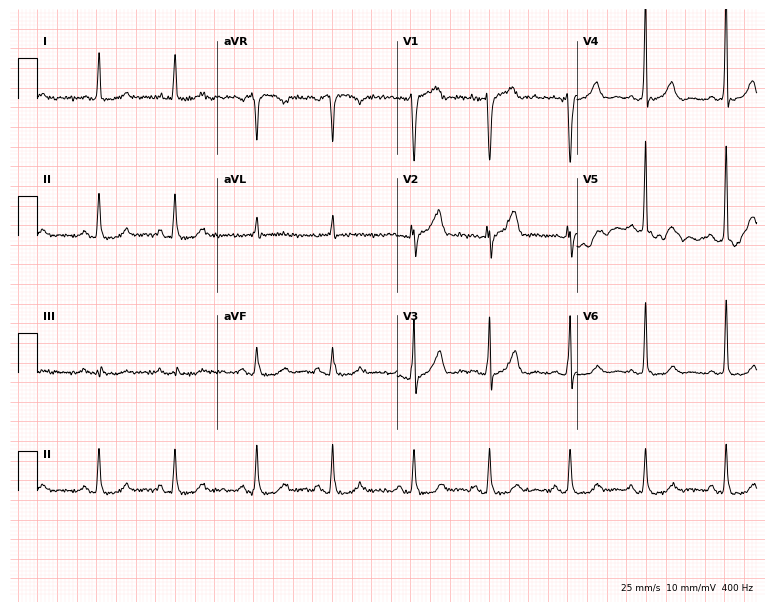
ECG (7.3-second recording at 400 Hz) — a male patient, 85 years old. Screened for six findings — first-degree AV block, right bundle branch block, left bundle branch block, sinus bradycardia, atrial fibrillation, sinus tachycardia — none is recorded.